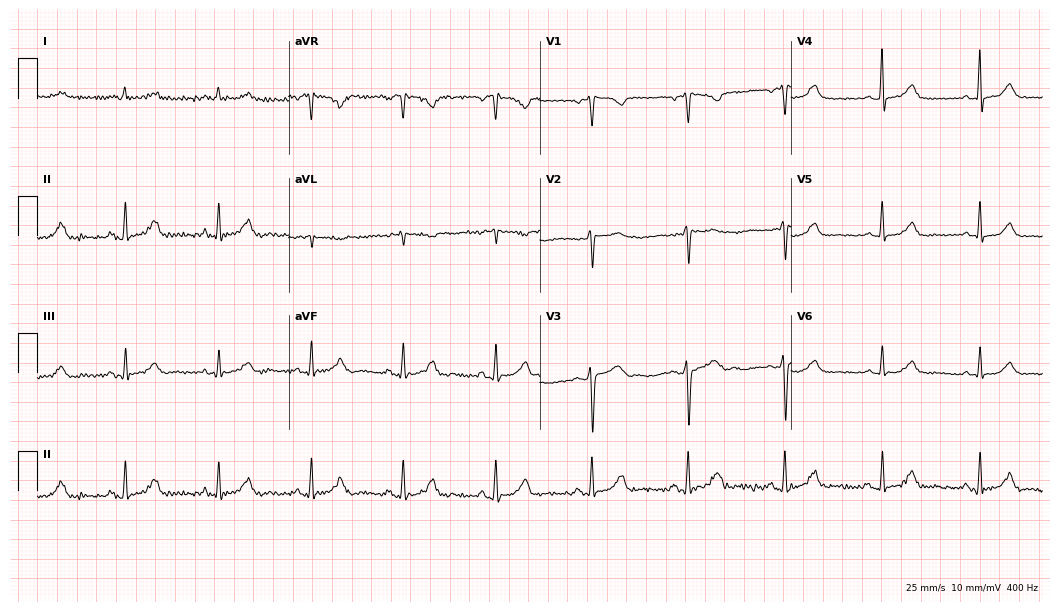
ECG — a female, 62 years old. Labelled as a normal ECG.